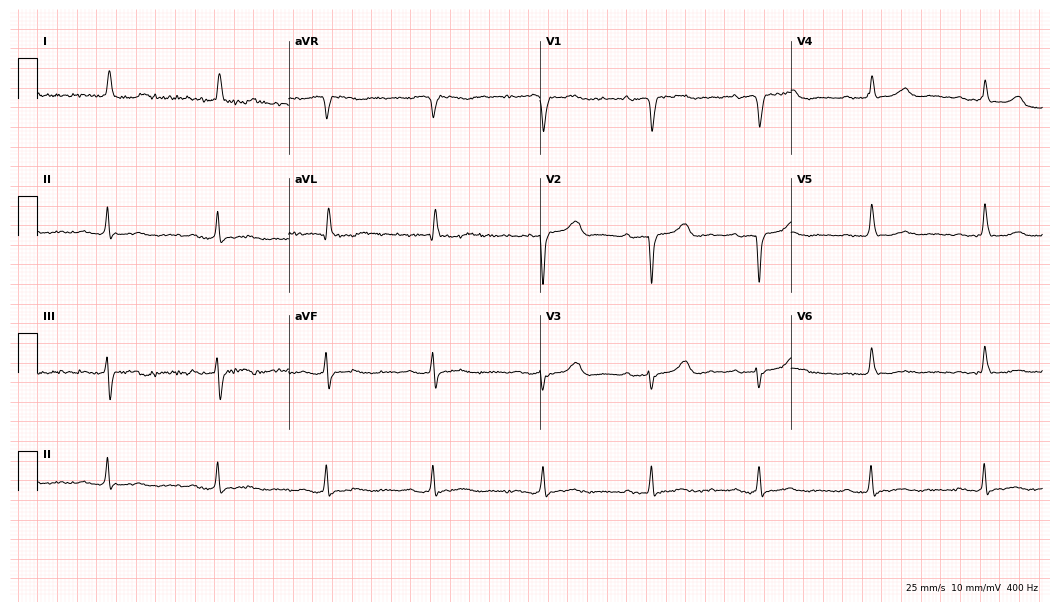
Resting 12-lead electrocardiogram. Patient: a 71-year-old woman. The tracing shows first-degree AV block.